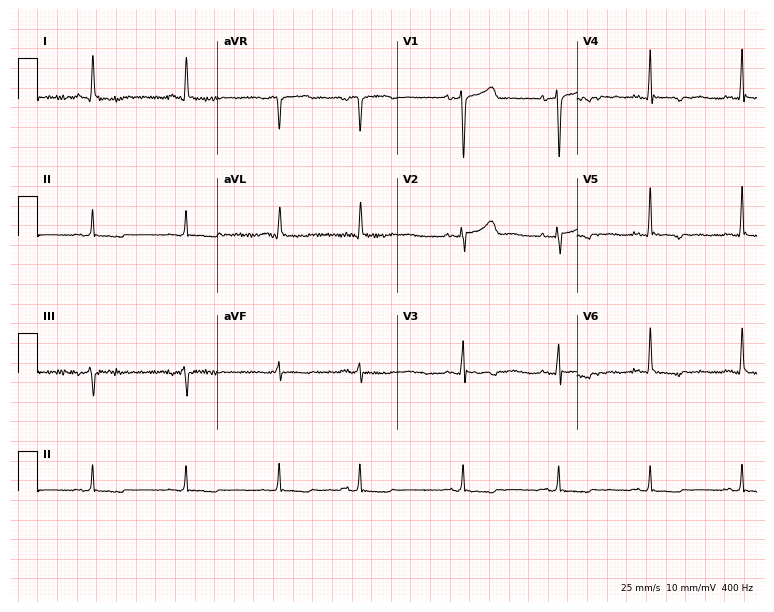
12-lead ECG from a female, 65 years old. Labelled as a normal ECG.